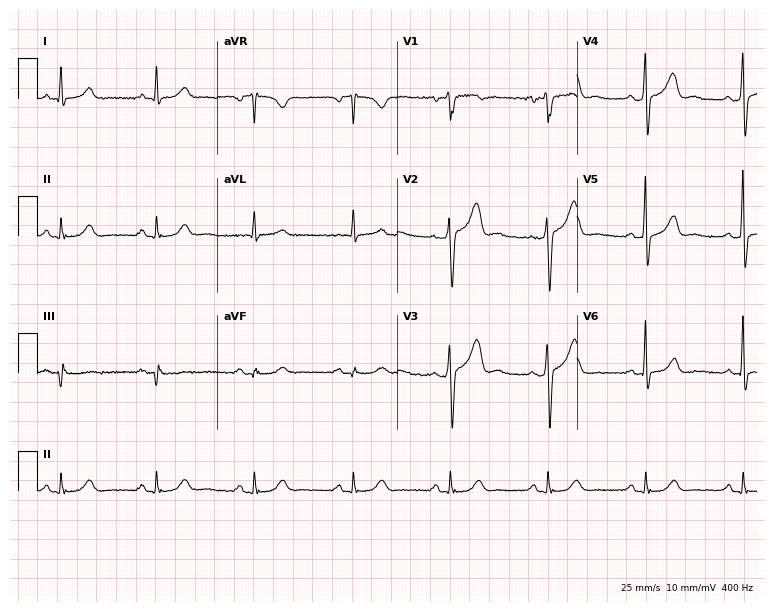
Resting 12-lead electrocardiogram. Patient: a male, 60 years old. Read as a normal ECG.